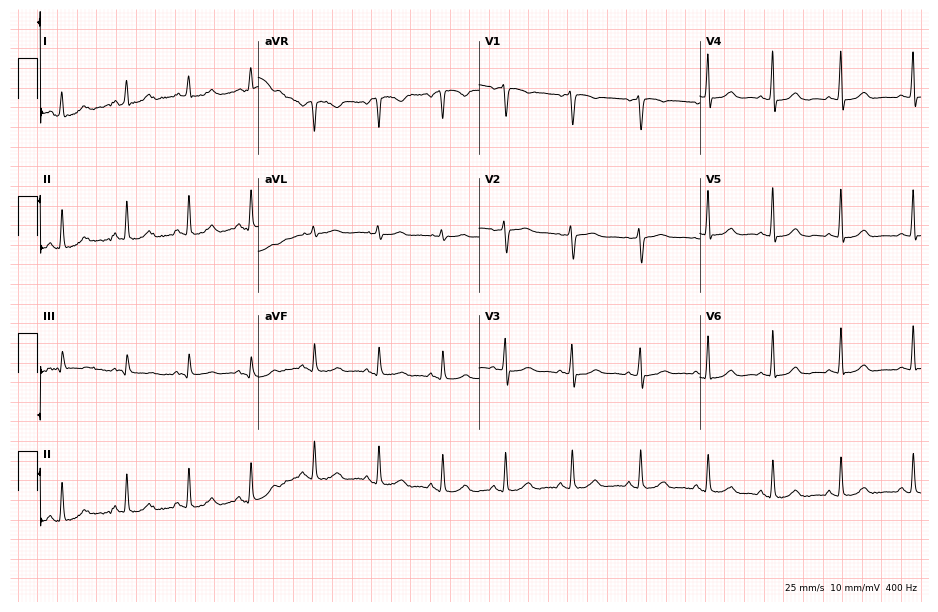
12-lead ECG (9-second recording at 400 Hz) from a 47-year-old female. Screened for six findings — first-degree AV block, right bundle branch block, left bundle branch block, sinus bradycardia, atrial fibrillation, sinus tachycardia — none is recorded. Only these six findings were labelled.